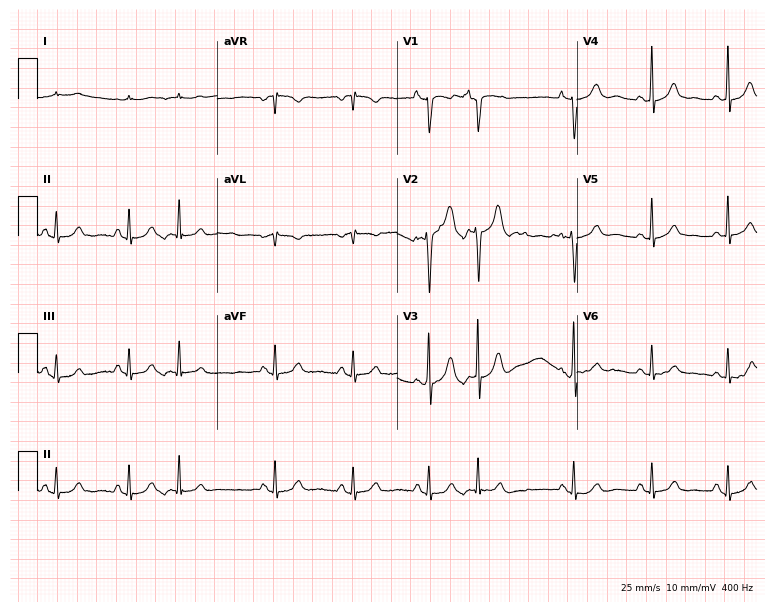
12-lead ECG from a male patient, 76 years old (7.3-second recording at 400 Hz). No first-degree AV block, right bundle branch block, left bundle branch block, sinus bradycardia, atrial fibrillation or sinus tachycardia recorded for this tracing.